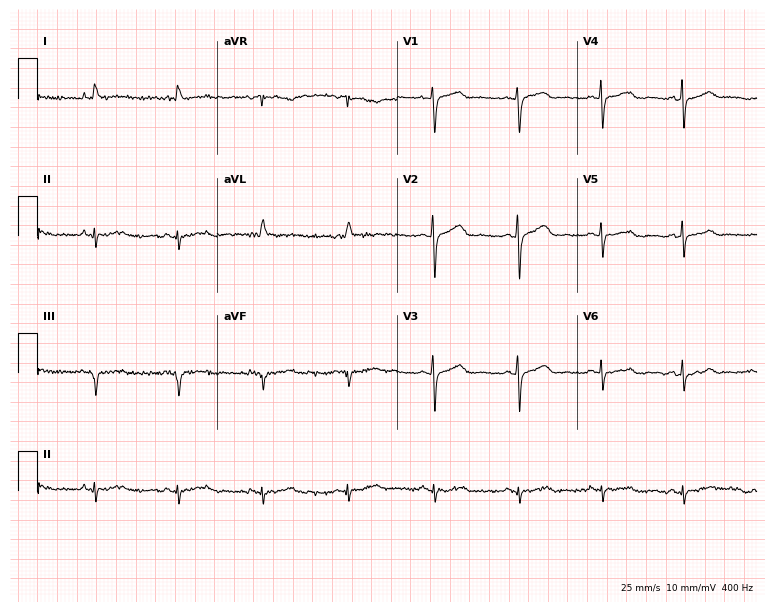
Resting 12-lead electrocardiogram. Patient: an 83-year-old female. None of these six findings is recorded: first-degree AV block, right bundle branch block, left bundle branch block, sinus bradycardia, atrial fibrillation, sinus tachycardia. Findings outside these six are not listed.